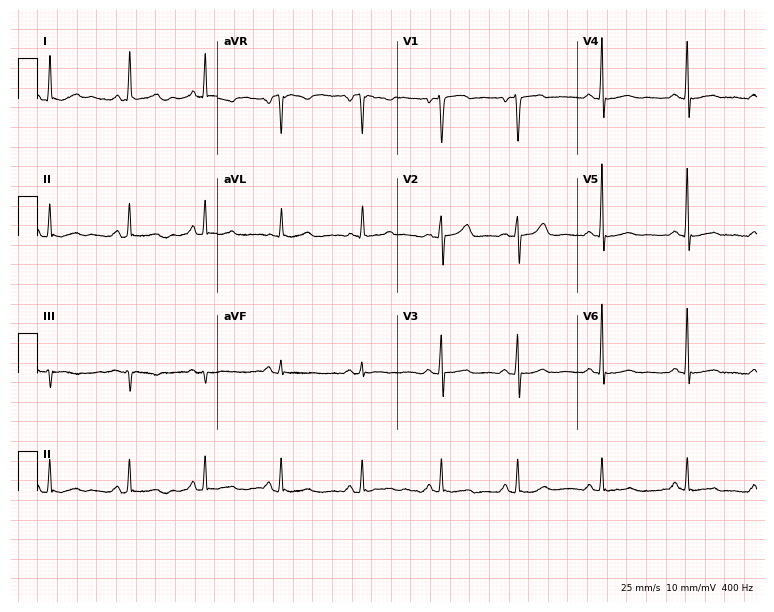
Standard 12-lead ECG recorded from a 63-year-old woman (7.3-second recording at 400 Hz). None of these six findings is recorded: first-degree AV block, right bundle branch block, left bundle branch block, sinus bradycardia, atrial fibrillation, sinus tachycardia. Only these six findings were labelled.